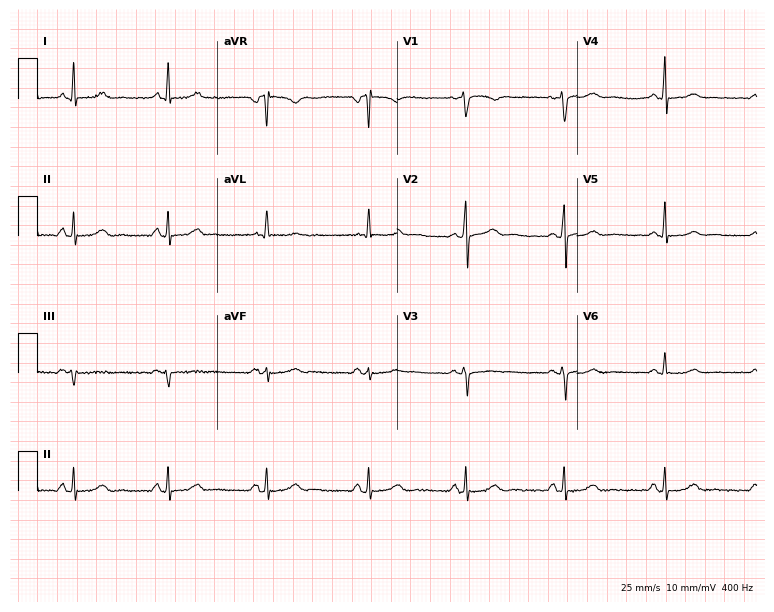
ECG (7.3-second recording at 400 Hz) — a 56-year-old female patient. Screened for six findings — first-degree AV block, right bundle branch block, left bundle branch block, sinus bradycardia, atrial fibrillation, sinus tachycardia — none is recorded.